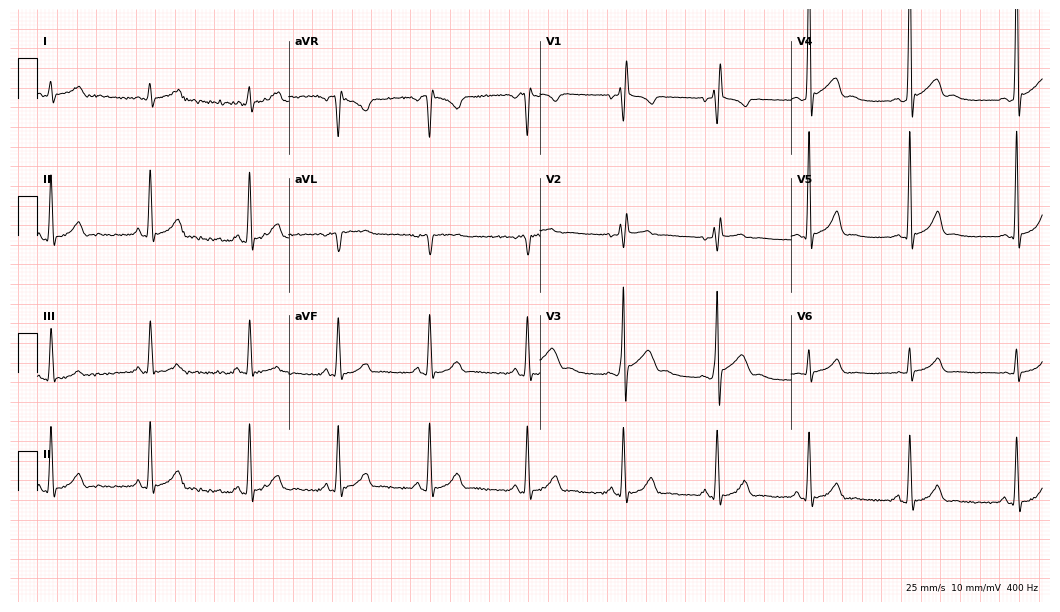
12-lead ECG from a male patient, 30 years old. No first-degree AV block, right bundle branch block, left bundle branch block, sinus bradycardia, atrial fibrillation or sinus tachycardia recorded for this tracing.